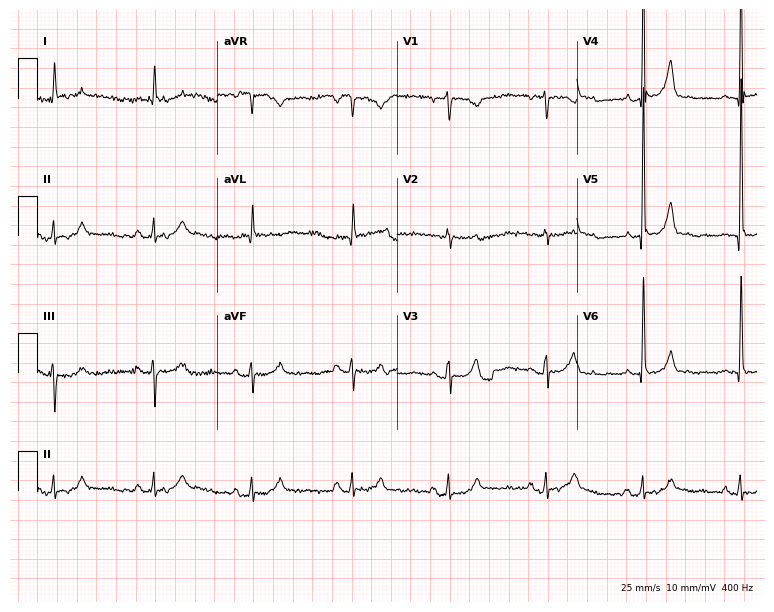
ECG — a 74-year-old female patient. Screened for six findings — first-degree AV block, right bundle branch block, left bundle branch block, sinus bradycardia, atrial fibrillation, sinus tachycardia — none is recorded.